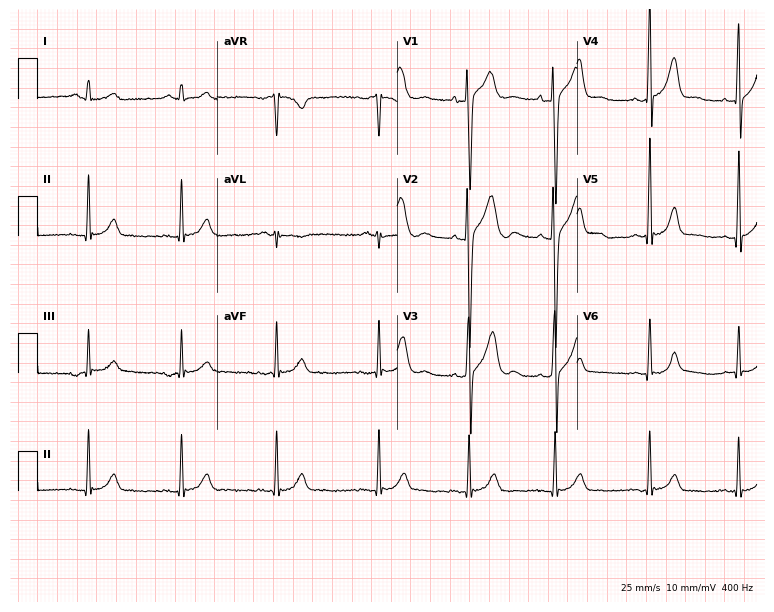
ECG (7.3-second recording at 400 Hz) — a 21-year-old man. Screened for six findings — first-degree AV block, right bundle branch block (RBBB), left bundle branch block (LBBB), sinus bradycardia, atrial fibrillation (AF), sinus tachycardia — none is recorded. Findings outside these six are not listed.